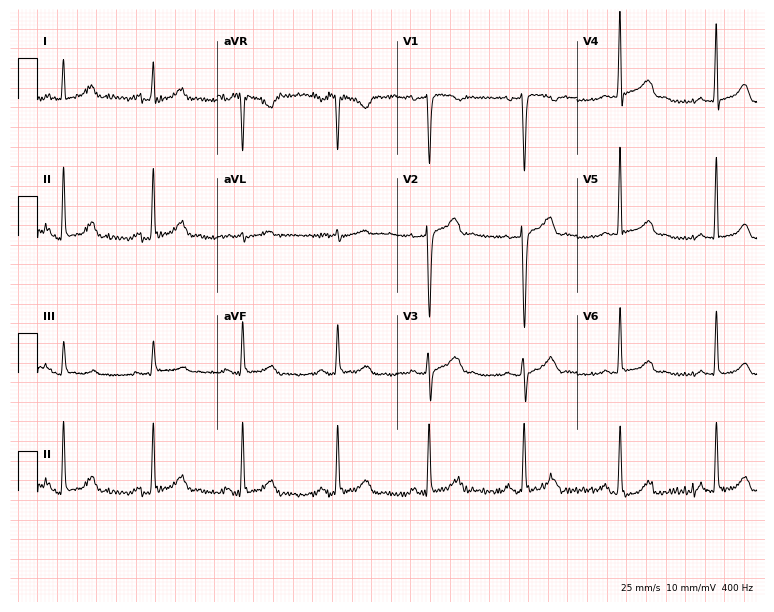
Electrocardiogram, a female, 44 years old. Overall reading on record: normal ECG.